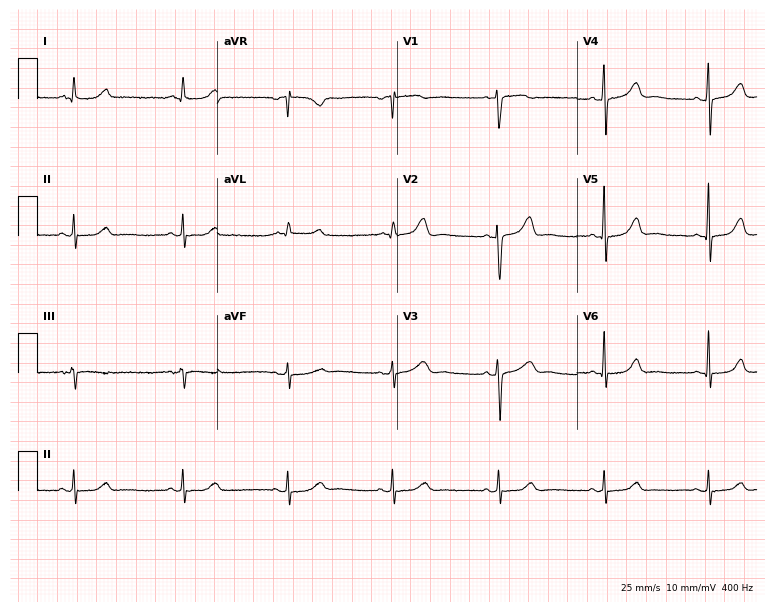
ECG — a female, 33 years old. Labelled as a normal ECG.